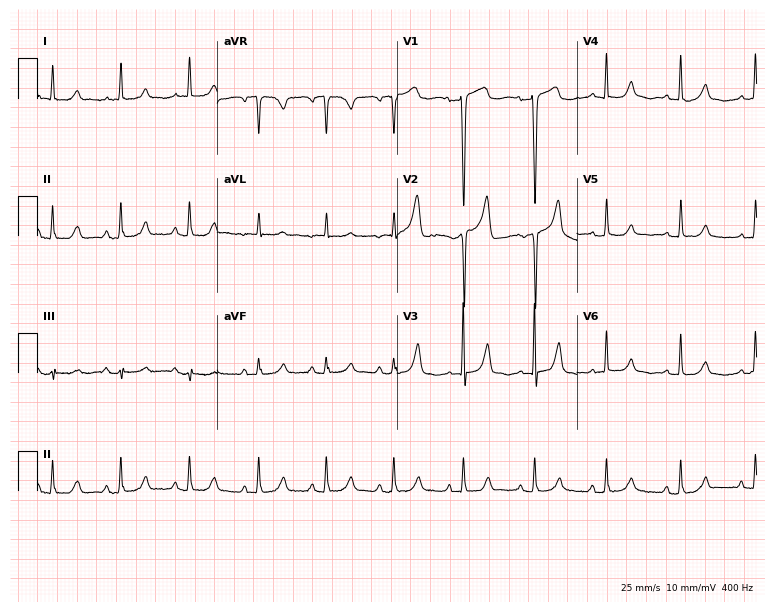
Standard 12-lead ECG recorded from a 60-year-old woman (7.3-second recording at 400 Hz). None of these six findings is recorded: first-degree AV block, right bundle branch block (RBBB), left bundle branch block (LBBB), sinus bradycardia, atrial fibrillation (AF), sinus tachycardia.